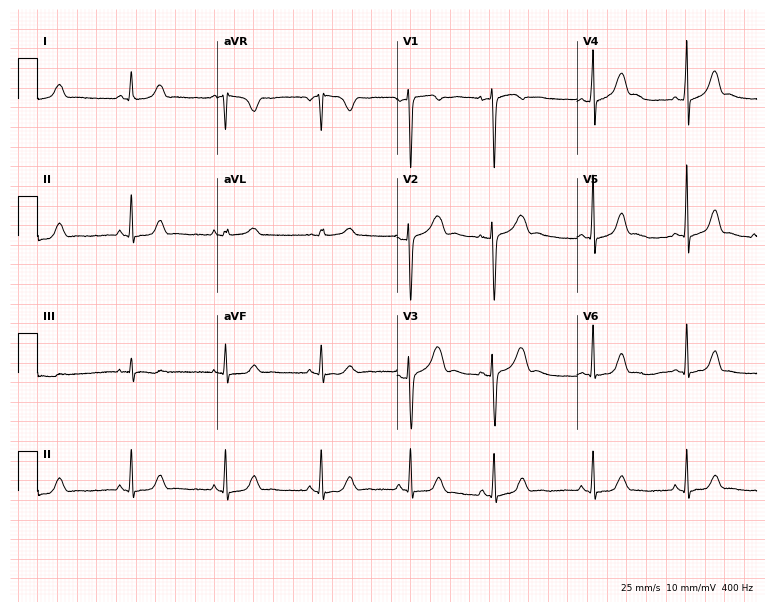
Standard 12-lead ECG recorded from a 20-year-old female (7.3-second recording at 400 Hz). Read as a normal ECG.